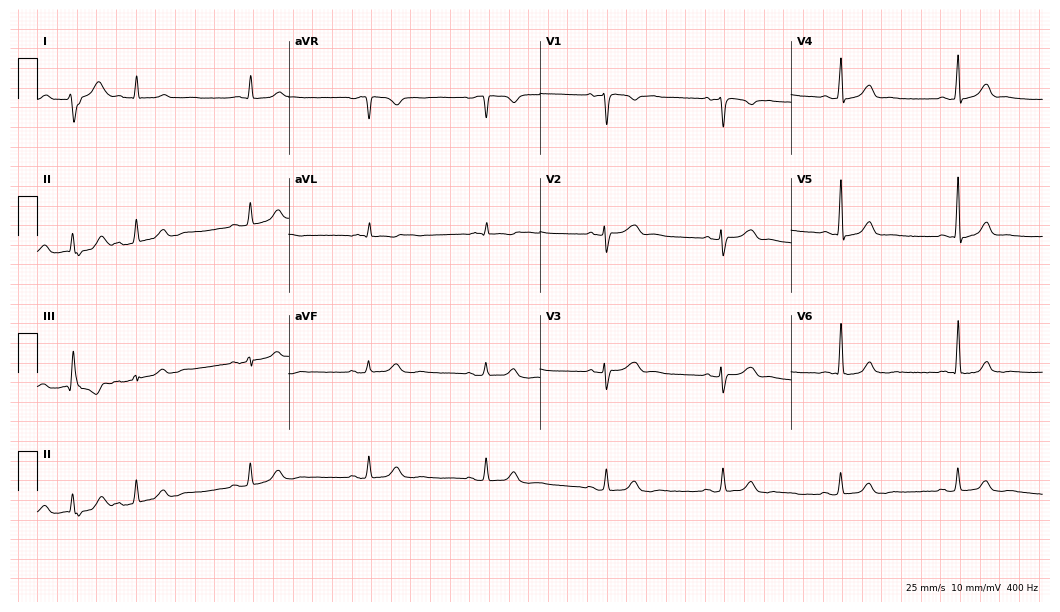
12-lead ECG from a 72-year-old female. No first-degree AV block, right bundle branch block, left bundle branch block, sinus bradycardia, atrial fibrillation or sinus tachycardia recorded for this tracing.